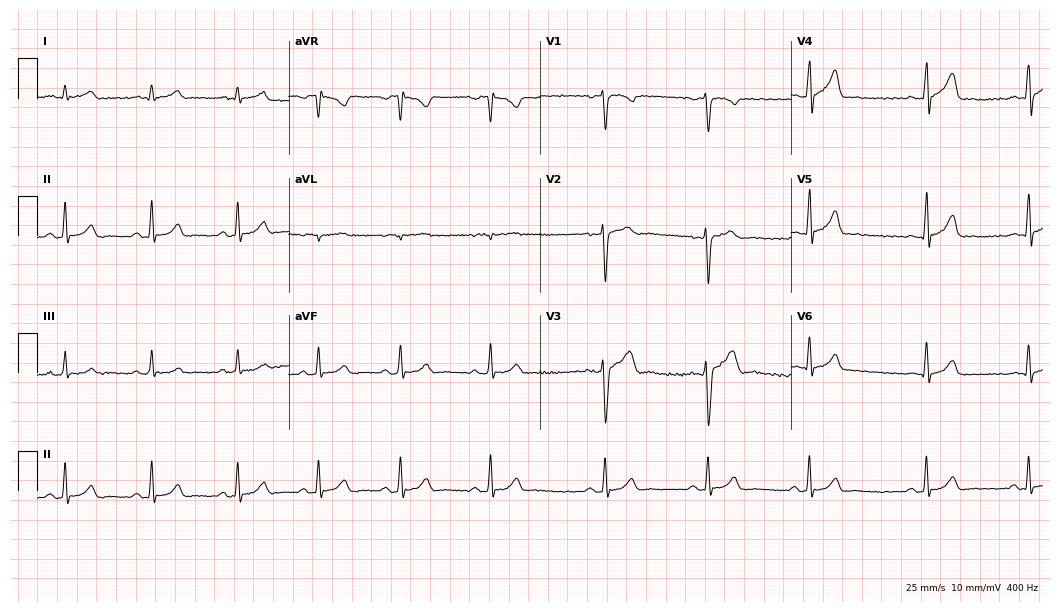
Standard 12-lead ECG recorded from a male, 19 years old. Read as a normal ECG.